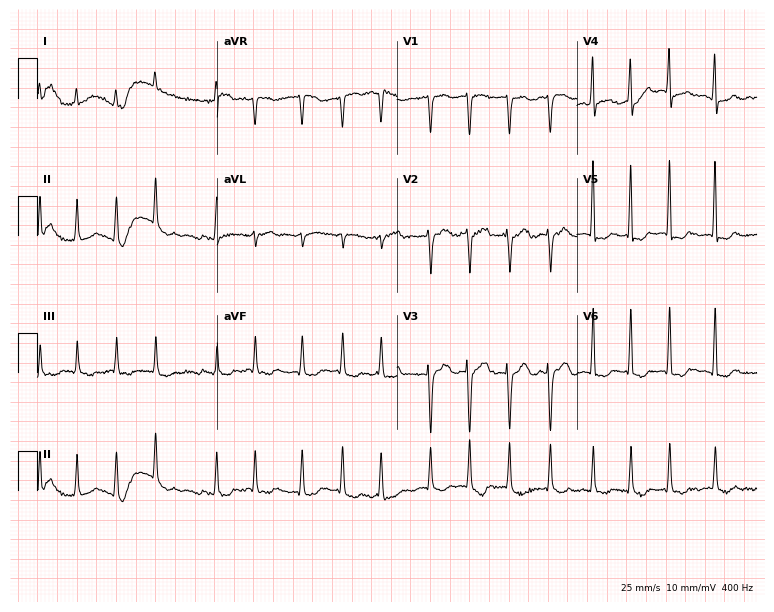
Electrocardiogram, an 81-year-old female. Interpretation includes atrial fibrillation (AF).